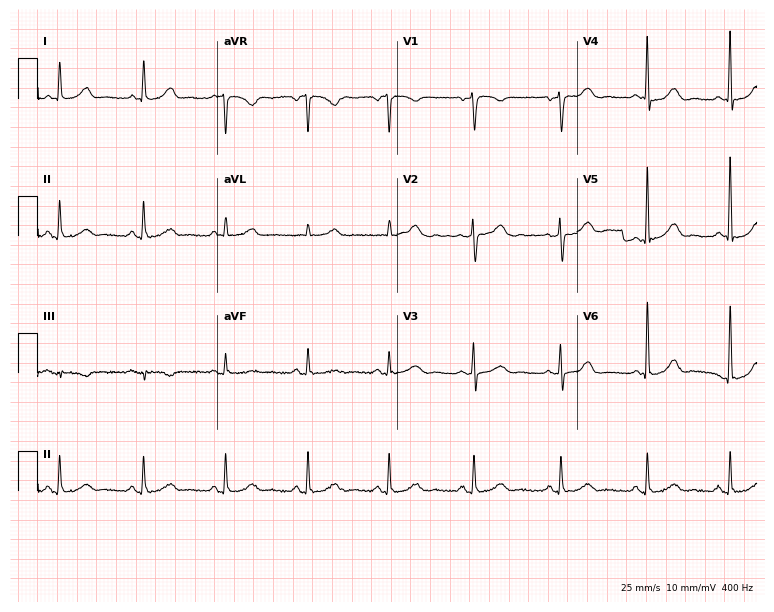
Resting 12-lead electrocardiogram. Patient: a 62-year-old female. Read as a normal ECG.